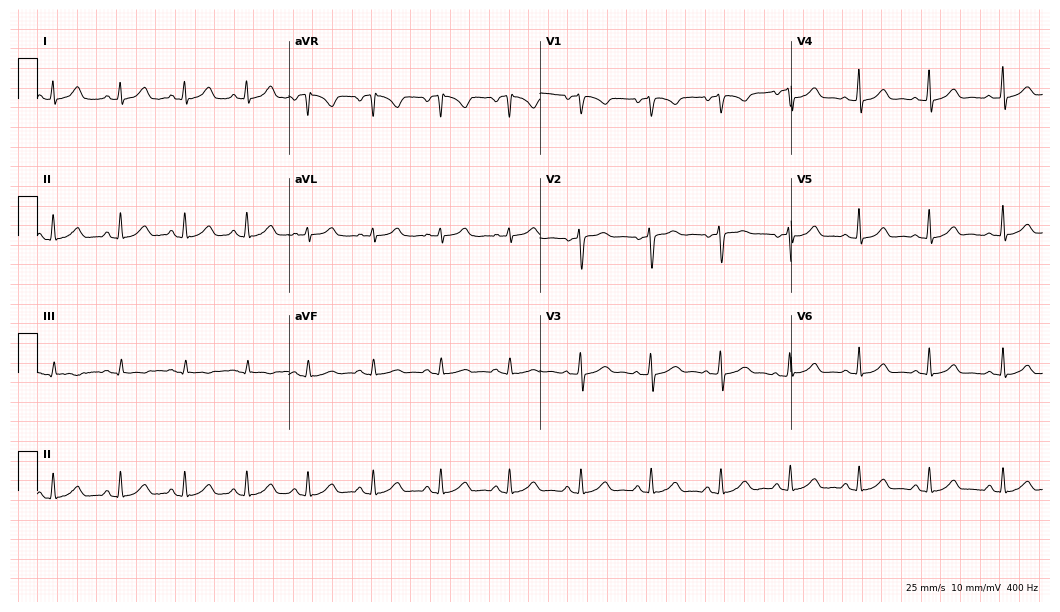
12-lead ECG from a woman, 39 years old. Screened for six findings — first-degree AV block, right bundle branch block (RBBB), left bundle branch block (LBBB), sinus bradycardia, atrial fibrillation (AF), sinus tachycardia — none is recorded.